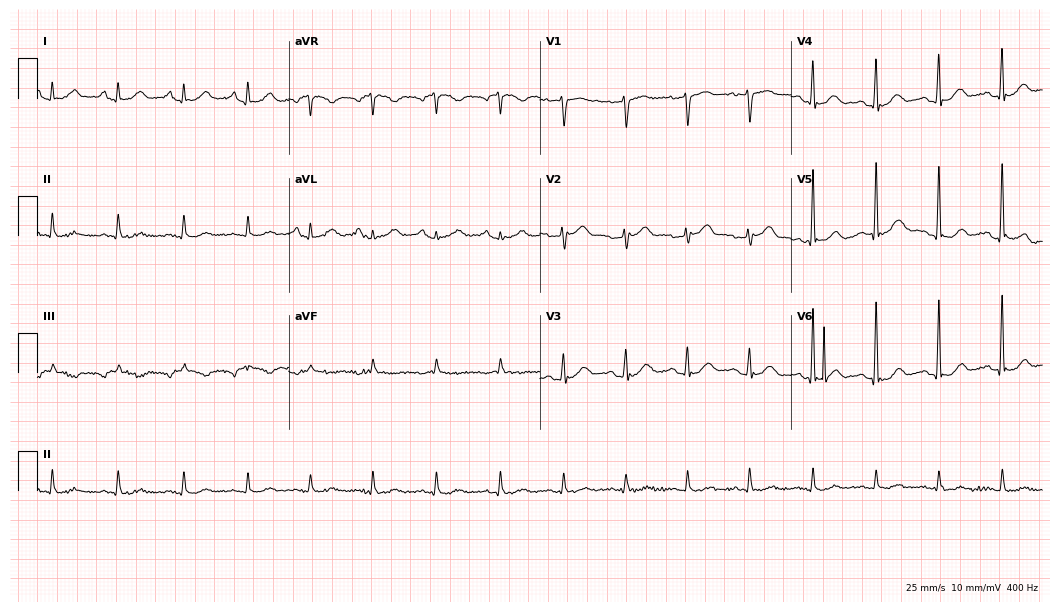
Standard 12-lead ECG recorded from a 62-year-old male (10.2-second recording at 400 Hz). None of these six findings is recorded: first-degree AV block, right bundle branch block (RBBB), left bundle branch block (LBBB), sinus bradycardia, atrial fibrillation (AF), sinus tachycardia. Findings outside these six are not listed.